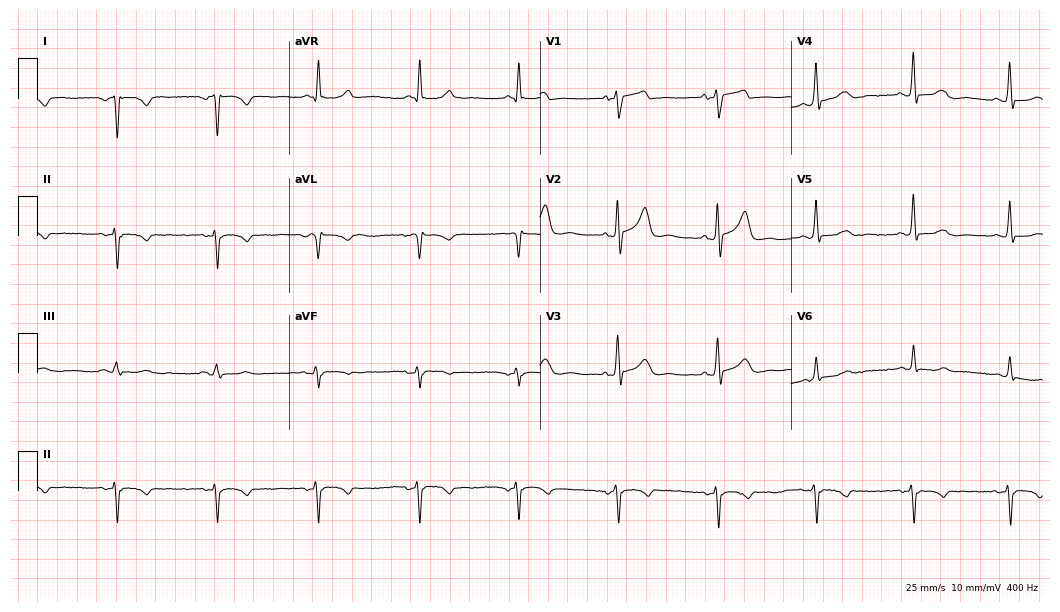
Standard 12-lead ECG recorded from a male patient, 64 years old (10.2-second recording at 400 Hz). None of these six findings is recorded: first-degree AV block, right bundle branch block (RBBB), left bundle branch block (LBBB), sinus bradycardia, atrial fibrillation (AF), sinus tachycardia.